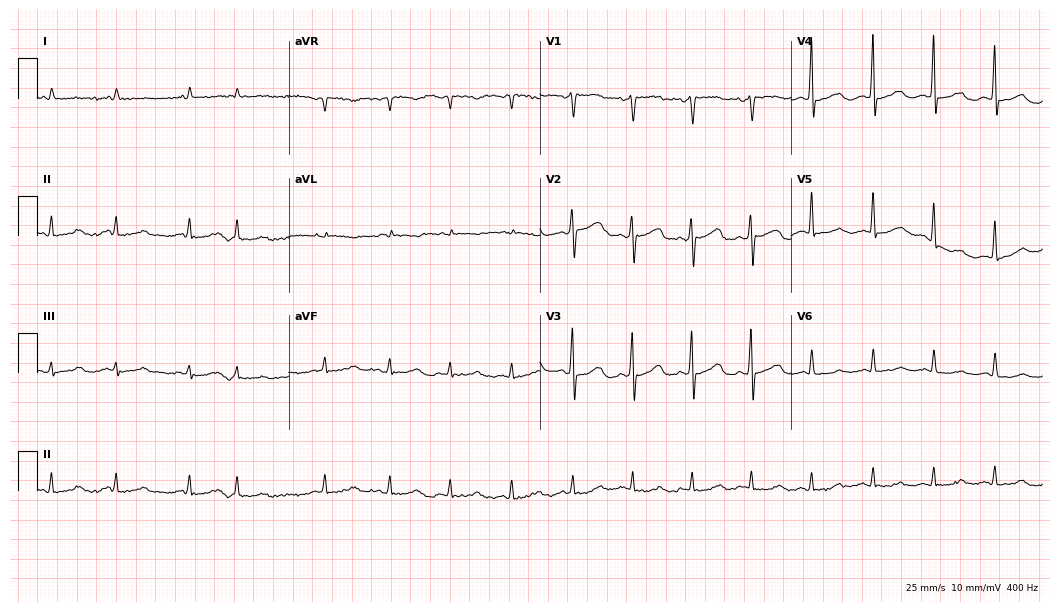
Electrocardiogram, a man, 84 years old. Of the six screened findings (first-degree AV block, right bundle branch block, left bundle branch block, sinus bradycardia, atrial fibrillation, sinus tachycardia), none is recorded. Other findings, if any, are not listed.